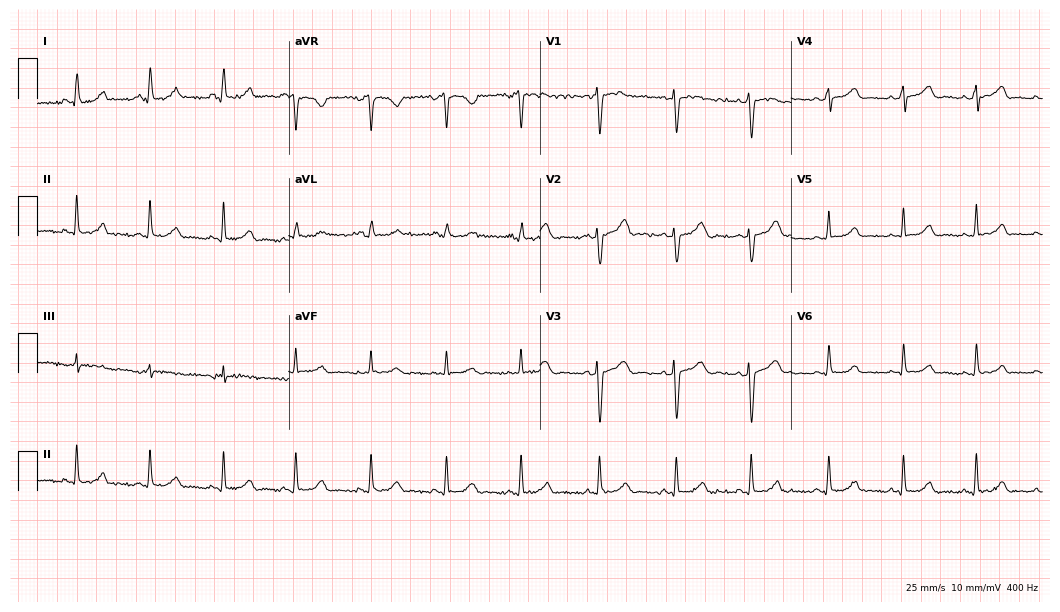
ECG — a female patient, 29 years old. Labelled as a normal ECG.